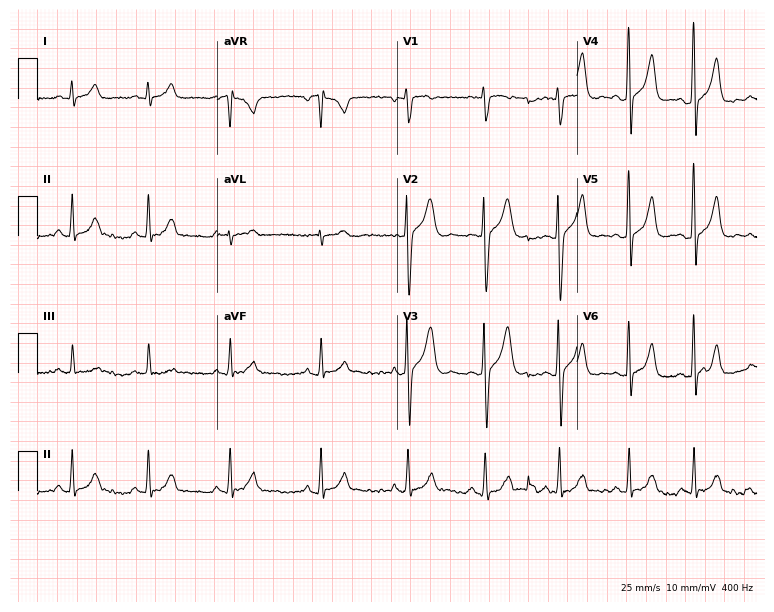
ECG — a male, 28 years old. Labelled as a normal ECG.